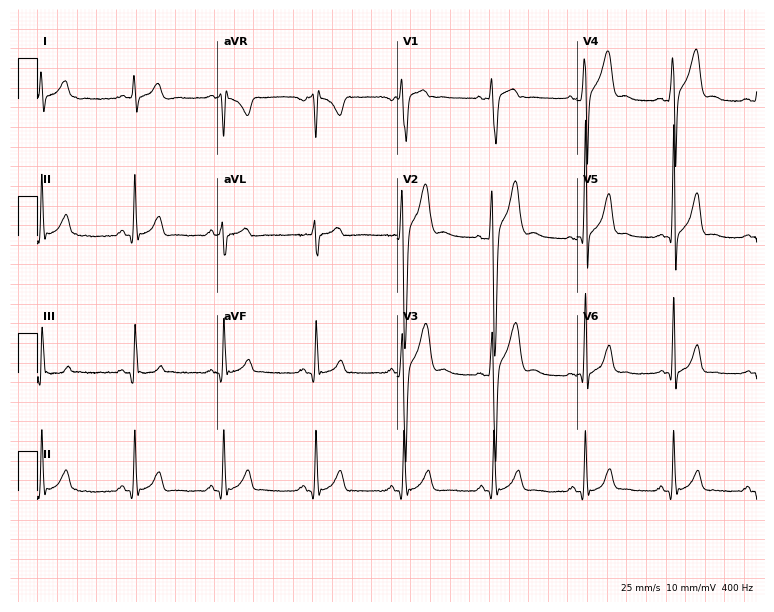
Resting 12-lead electrocardiogram (7.3-second recording at 400 Hz). Patient: a 17-year-old male. None of these six findings is recorded: first-degree AV block, right bundle branch block, left bundle branch block, sinus bradycardia, atrial fibrillation, sinus tachycardia. Findings outside these six are not listed.